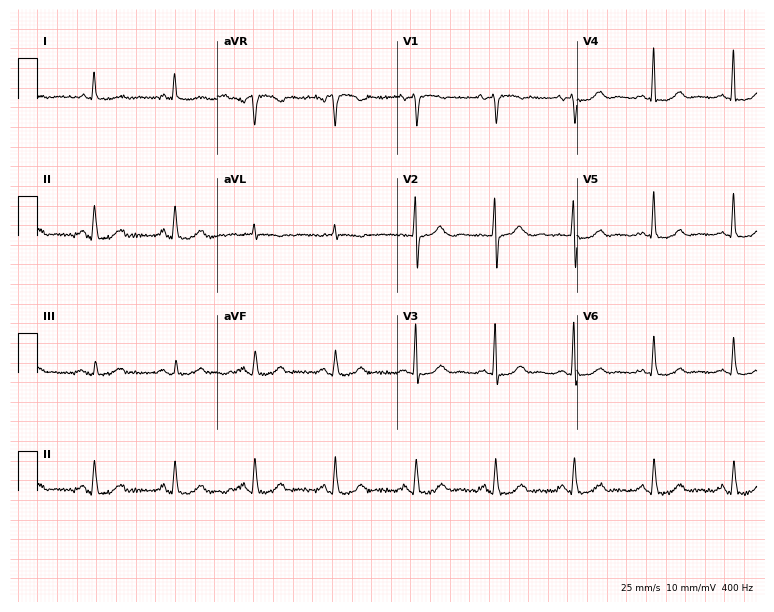
12-lead ECG (7.3-second recording at 400 Hz) from a 64-year-old female patient. Screened for six findings — first-degree AV block, right bundle branch block (RBBB), left bundle branch block (LBBB), sinus bradycardia, atrial fibrillation (AF), sinus tachycardia — none is recorded. Other findings, if any, are not listed.